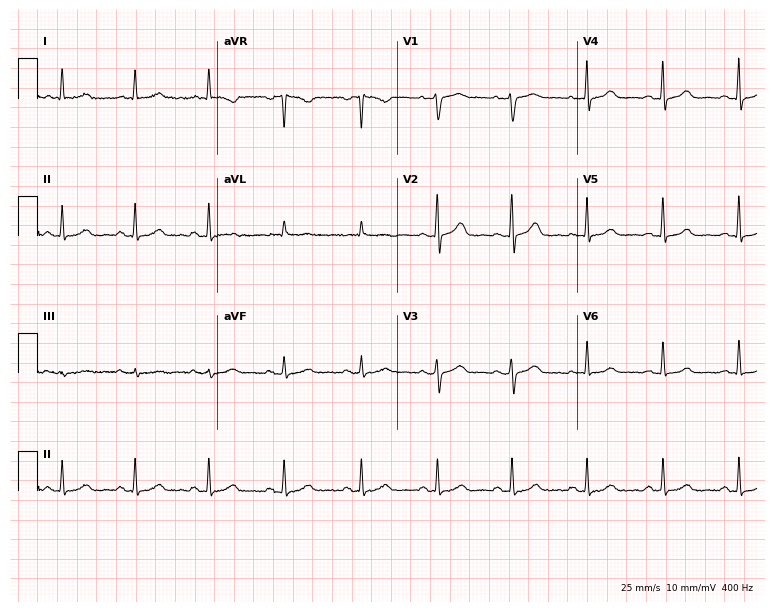
Electrocardiogram, a woman, 55 years old. Overall reading on record: normal ECG.